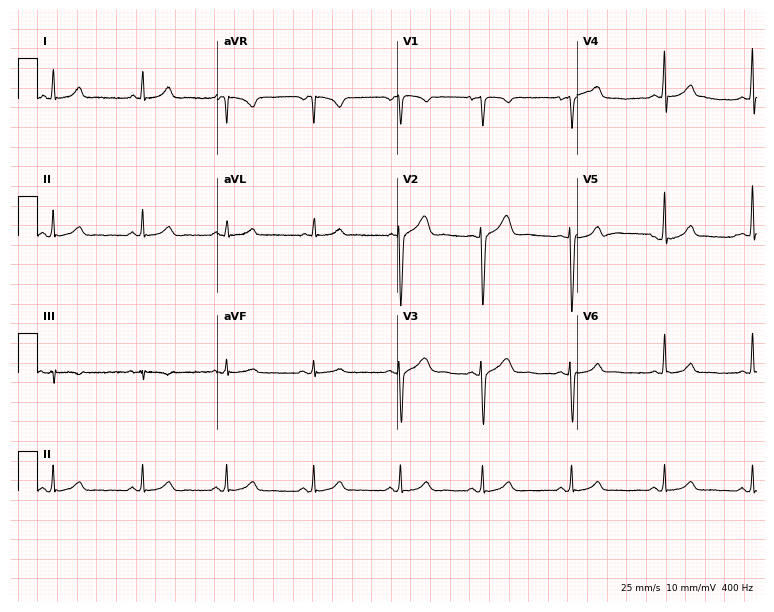
Standard 12-lead ECG recorded from a female patient, 31 years old (7.3-second recording at 400 Hz). Read as a normal ECG.